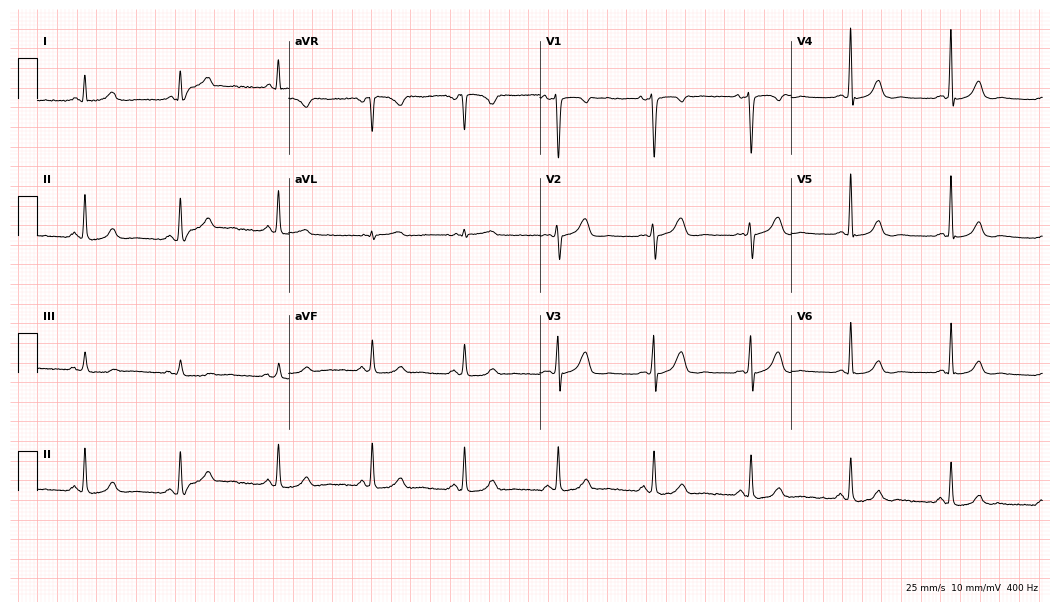
ECG (10.2-second recording at 400 Hz) — a 44-year-old female patient. Labelled as a normal ECG.